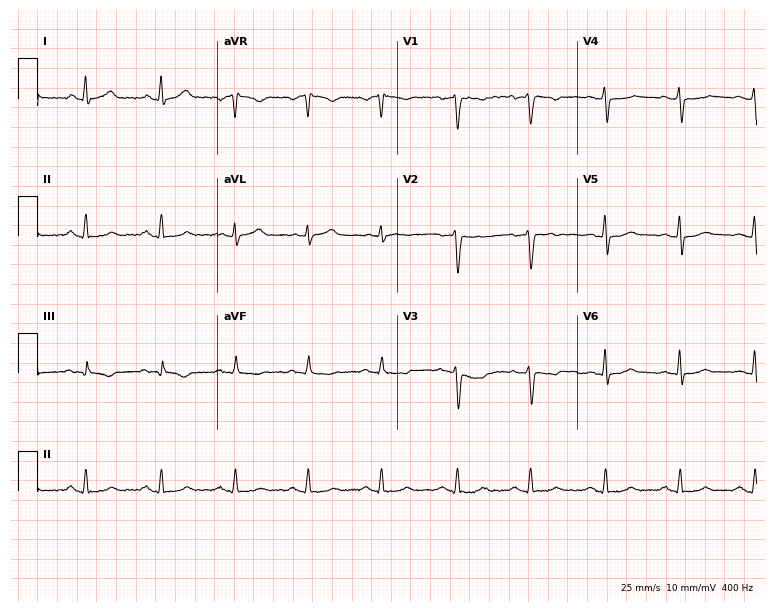
12-lead ECG from a woman, 47 years old (7.3-second recording at 400 Hz). No first-degree AV block, right bundle branch block (RBBB), left bundle branch block (LBBB), sinus bradycardia, atrial fibrillation (AF) or sinus tachycardia recorded for this tracing.